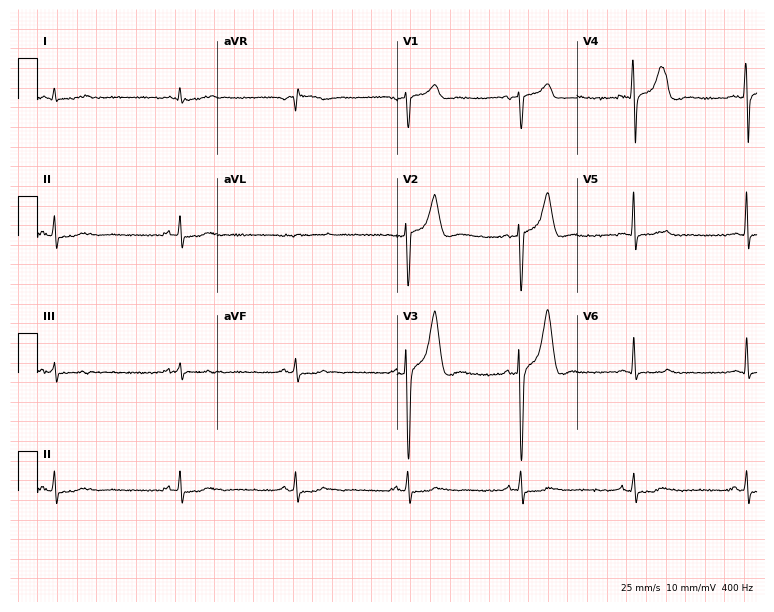
ECG — a male patient, 54 years old. Screened for six findings — first-degree AV block, right bundle branch block (RBBB), left bundle branch block (LBBB), sinus bradycardia, atrial fibrillation (AF), sinus tachycardia — none is recorded. Other findings, if any, are not listed.